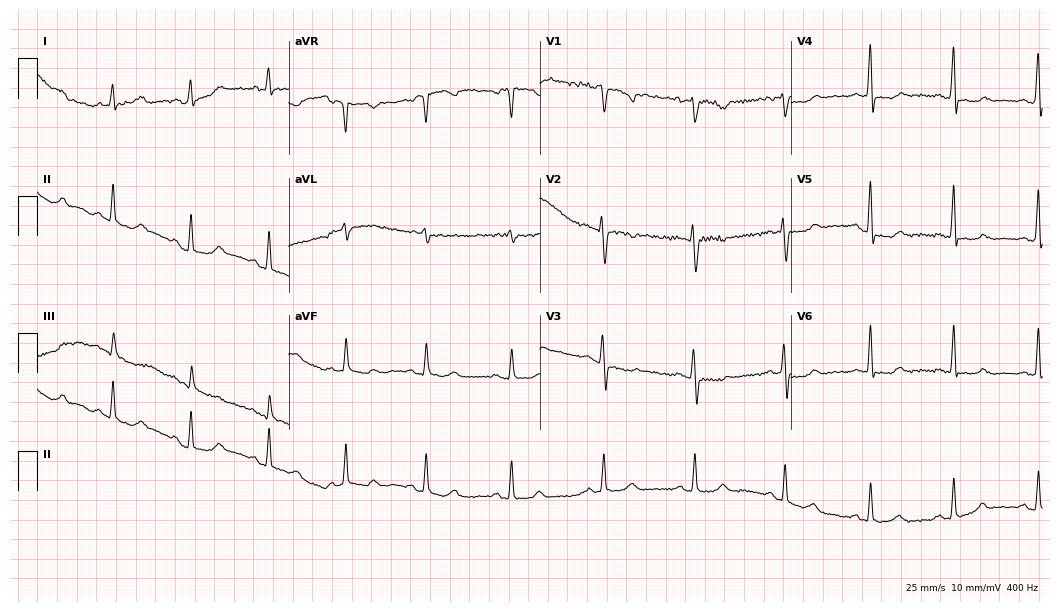
12-lead ECG from a 51-year-old female. Screened for six findings — first-degree AV block, right bundle branch block, left bundle branch block, sinus bradycardia, atrial fibrillation, sinus tachycardia — none is recorded.